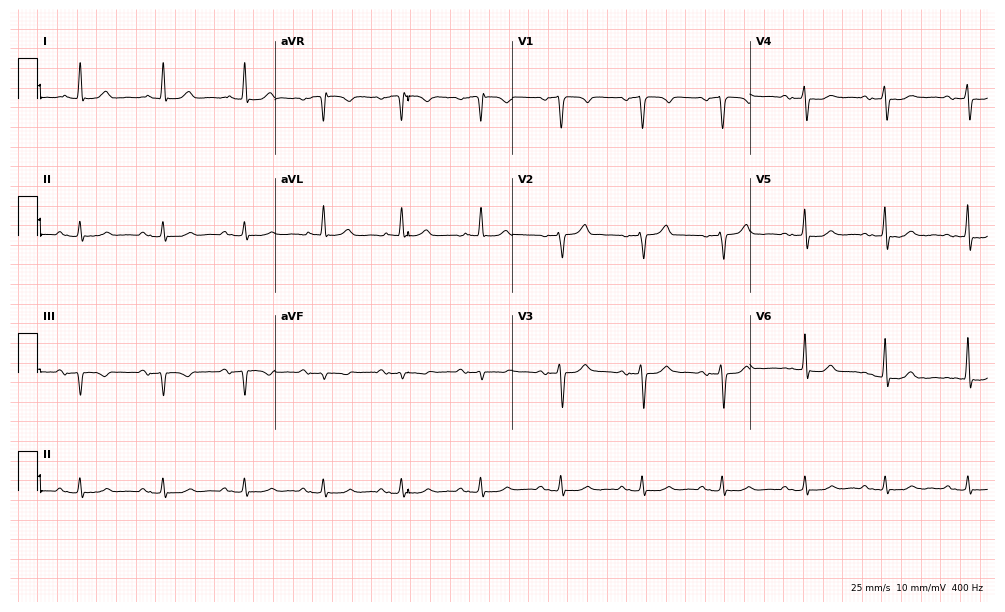
Standard 12-lead ECG recorded from a 62-year-old man (9.7-second recording at 400 Hz). Read as a normal ECG.